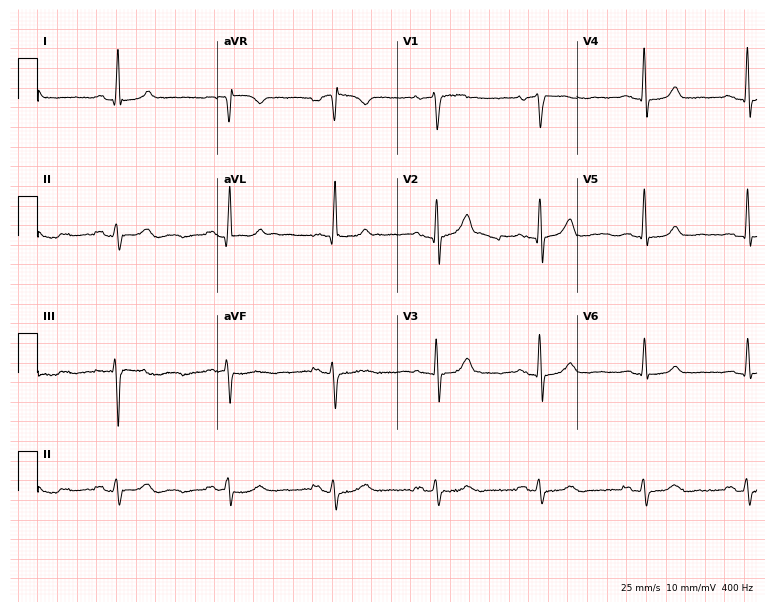
ECG — a male patient, 63 years old. Labelled as a normal ECG.